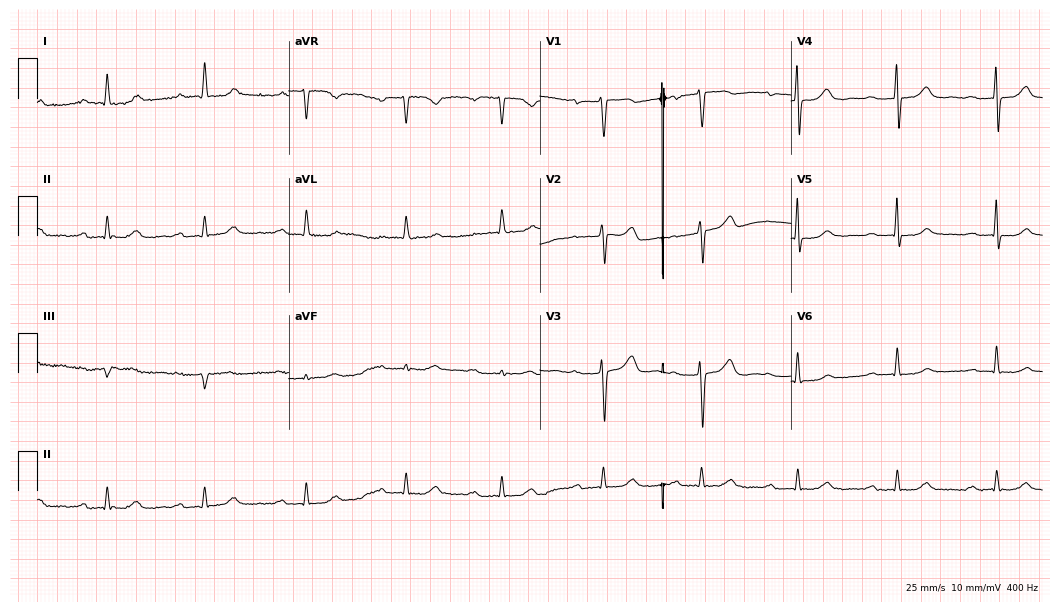
Electrocardiogram (10.2-second recording at 400 Hz), a 73-year-old woman. Interpretation includes first-degree AV block.